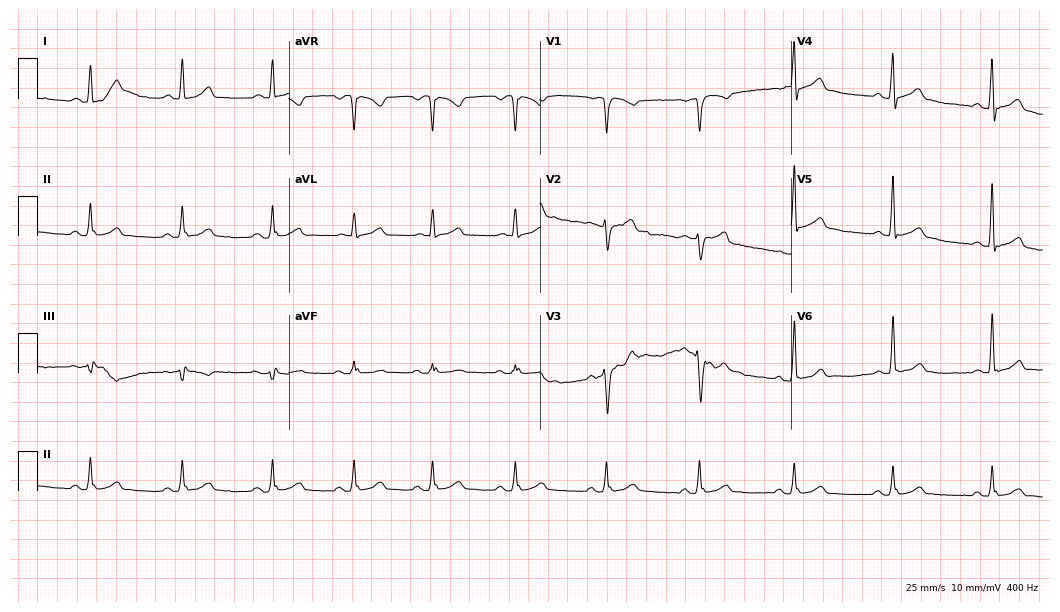
Resting 12-lead electrocardiogram. Patient: a male, 39 years old. Read as a normal ECG.